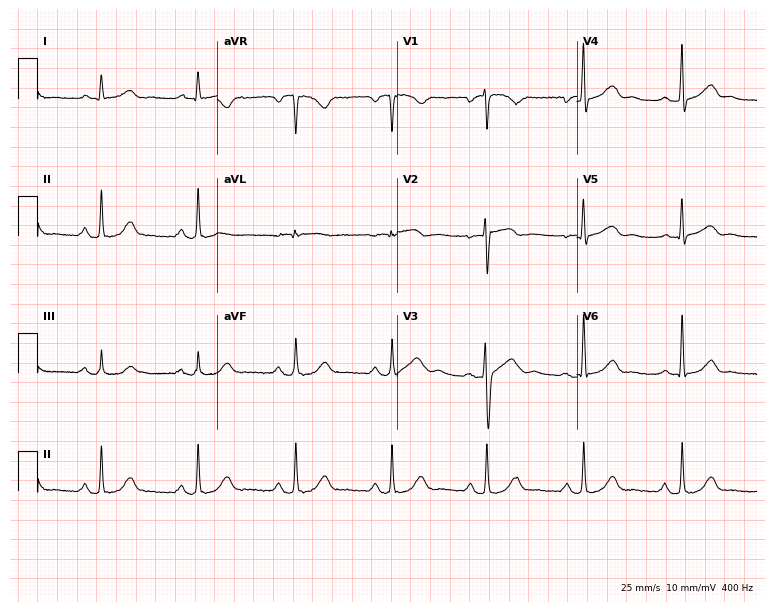
ECG — a male, 53 years old. Screened for six findings — first-degree AV block, right bundle branch block, left bundle branch block, sinus bradycardia, atrial fibrillation, sinus tachycardia — none is recorded.